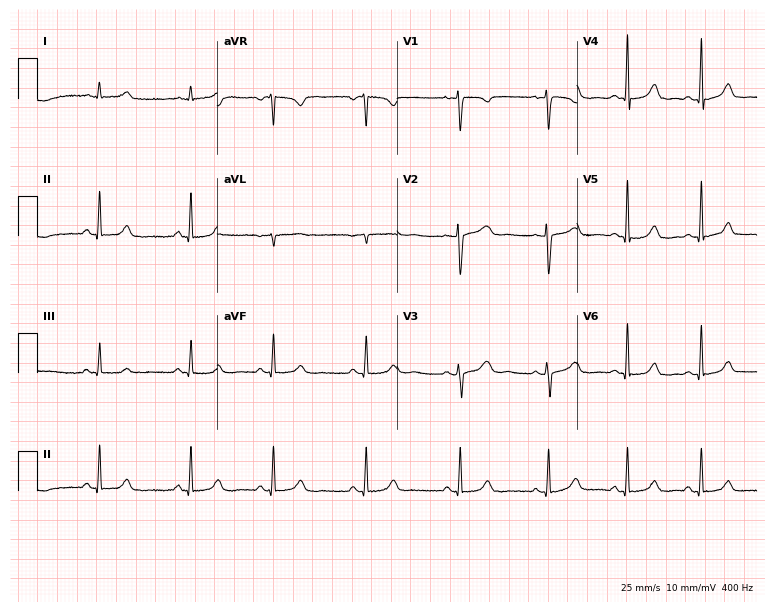
Standard 12-lead ECG recorded from a woman, 31 years old. Read as a normal ECG.